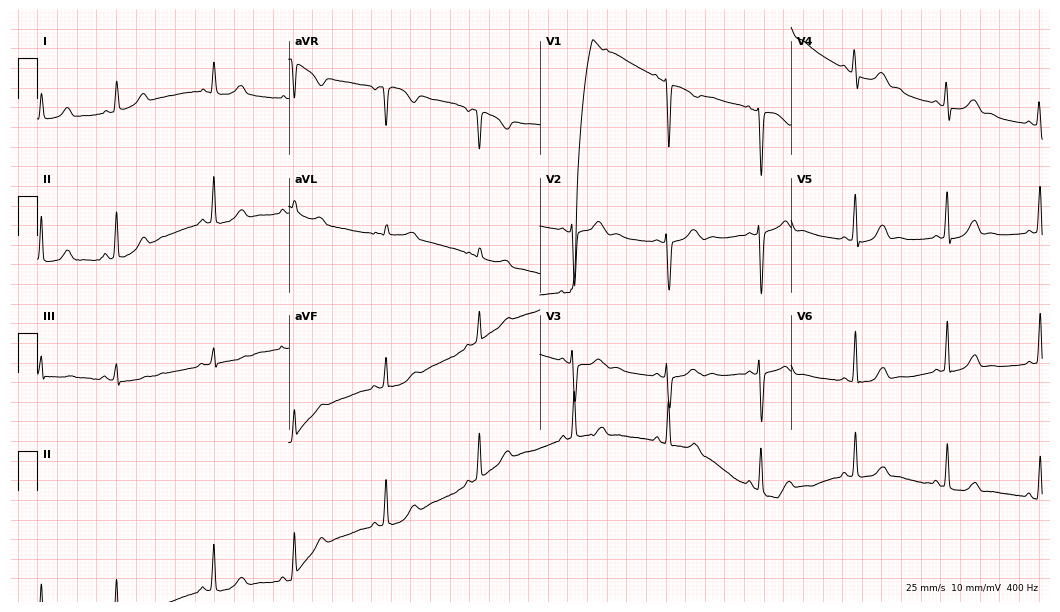
12-lead ECG from a 29-year-old female patient (10.2-second recording at 400 Hz). Recorded interpretation: within normal limits.